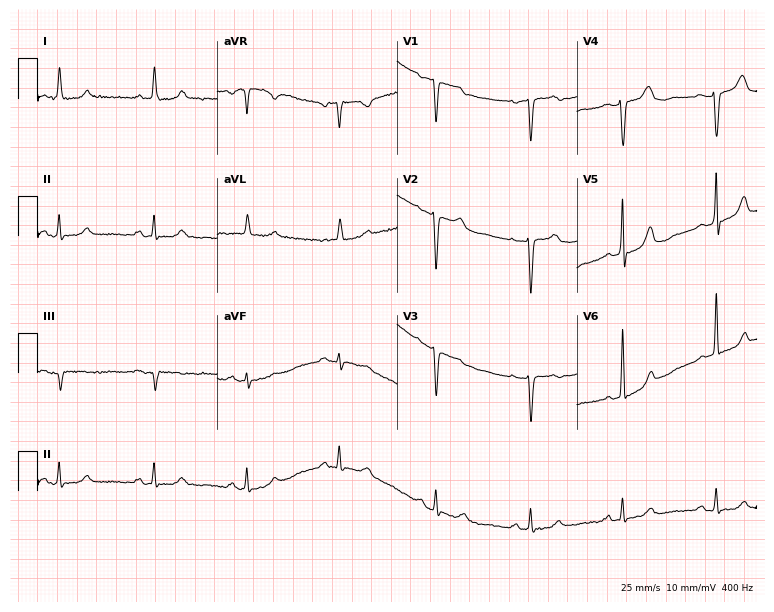
12-lead ECG from an 81-year-old female. Screened for six findings — first-degree AV block, right bundle branch block, left bundle branch block, sinus bradycardia, atrial fibrillation, sinus tachycardia — none is recorded. Findings outside these six are not listed.